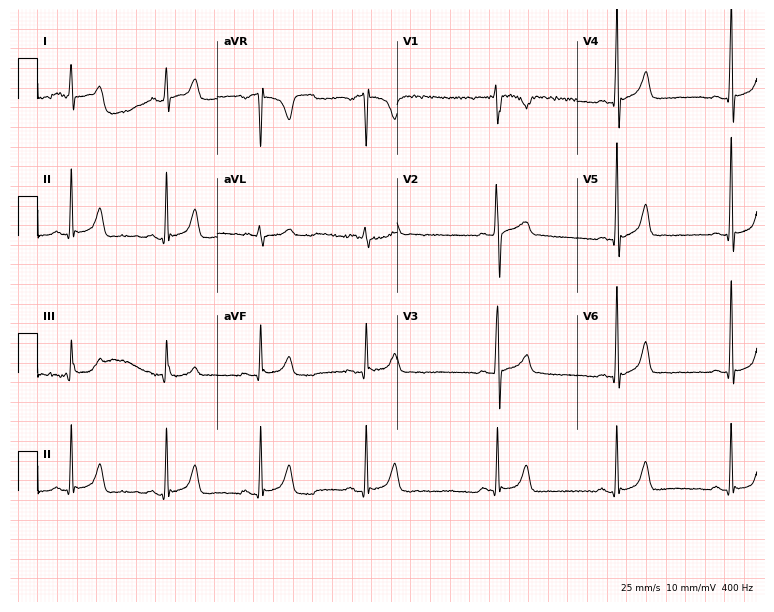
12-lead ECG from a 26-year-old man. Screened for six findings — first-degree AV block, right bundle branch block, left bundle branch block, sinus bradycardia, atrial fibrillation, sinus tachycardia — none is recorded. Findings outside these six are not listed.